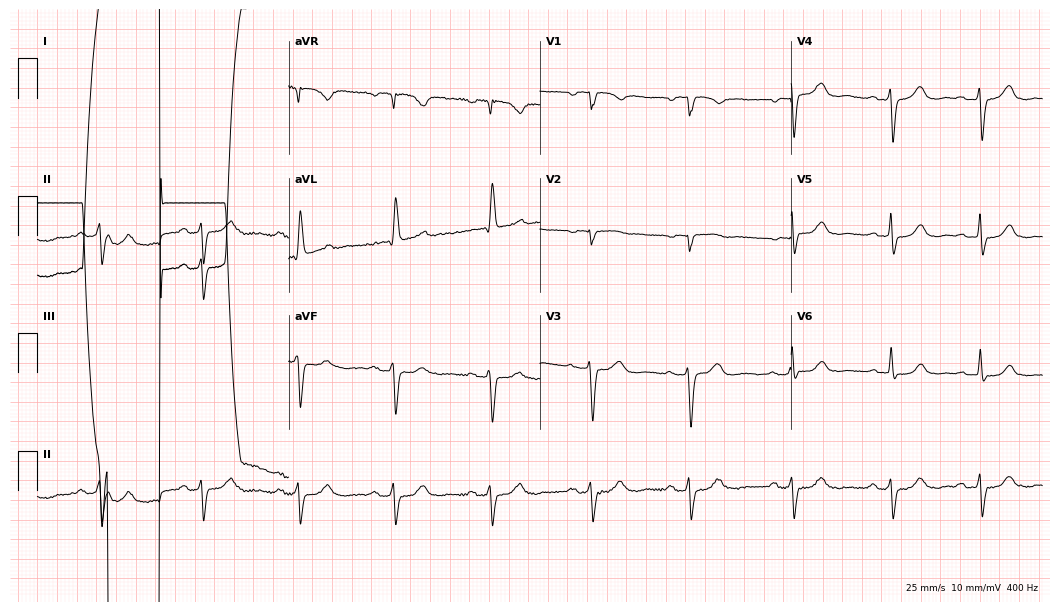
Electrocardiogram, a 48-year-old female. Of the six screened findings (first-degree AV block, right bundle branch block, left bundle branch block, sinus bradycardia, atrial fibrillation, sinus tachycardia), none is recorded. Other findings, if any, are not listed.